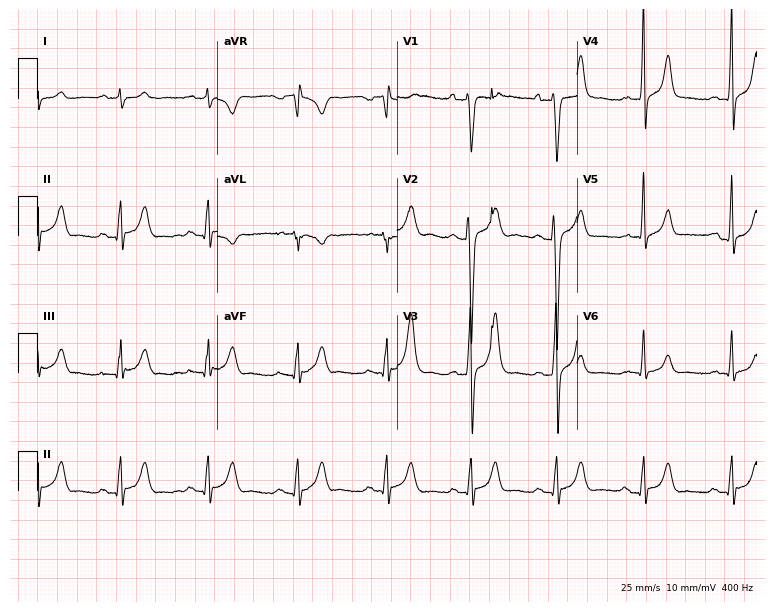
12-lead ECG from a male, 35 years old (7.3-second recording at 400 Hz). Recorded interpretation: within normal limits.